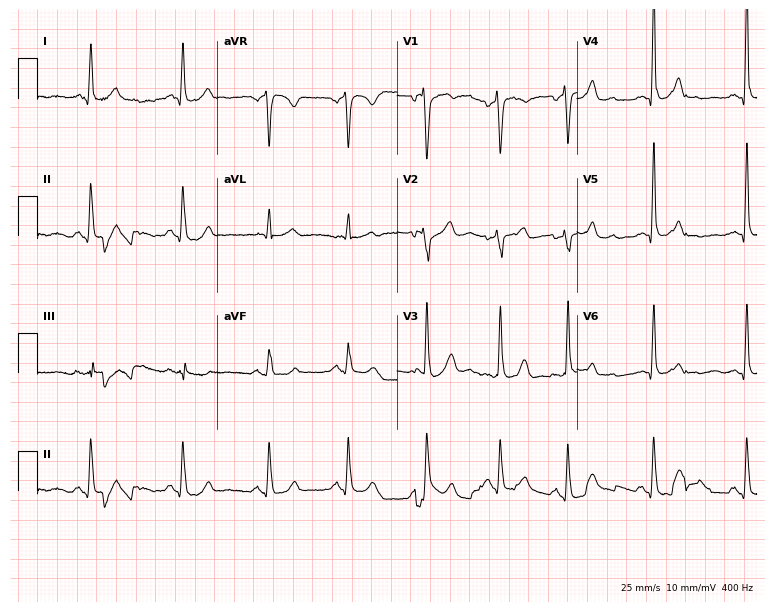
12-lead ECG from a 60-year-old man. No first-degree AV block, right bundle branch block, left bundle branch block, sinus bradycardia, atrial fibrillation or sinus tachycardia recorded for this tracing. Only these six findings were labelled.